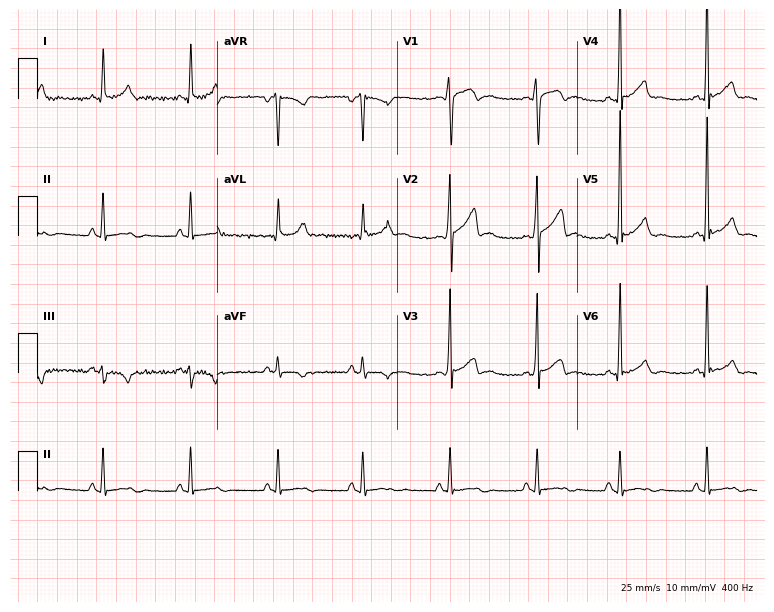
Resting 12-lead electrocardiogram (7.3-second recording at 400 Hz). Patient: a male, 31 years old. Read as a normal ECG.